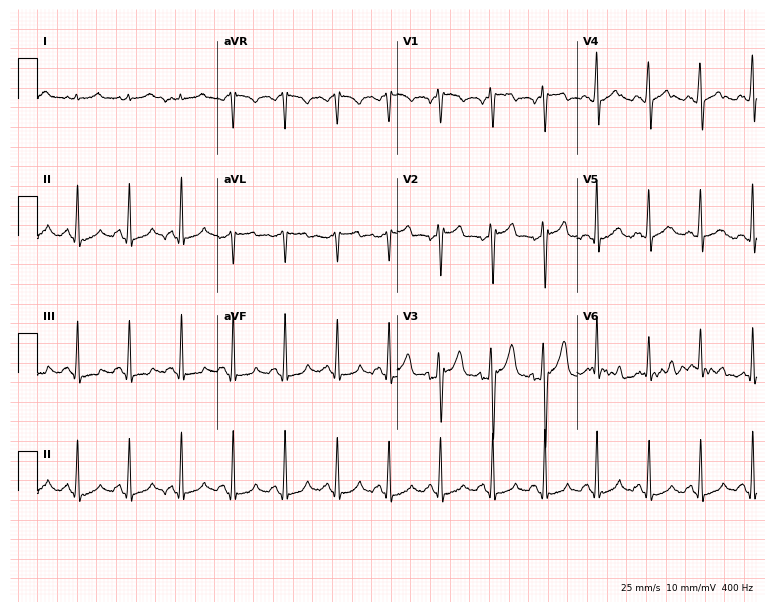
Standard 12-lead ECG recorded from a 54-year-old man (7.3-second recording at 400 Hz). The tracing shows sinus tachycardia (a sinus rate of 100 beats per minute or more).